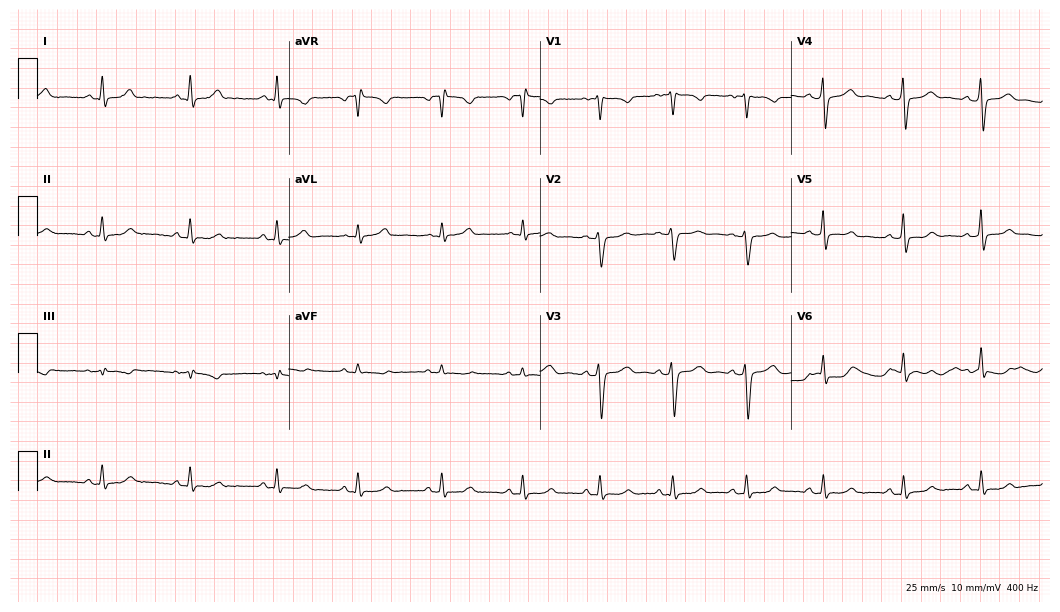
12-lead ECG from a female patient, 26 years old. Recorded interpretation: within normal limits.